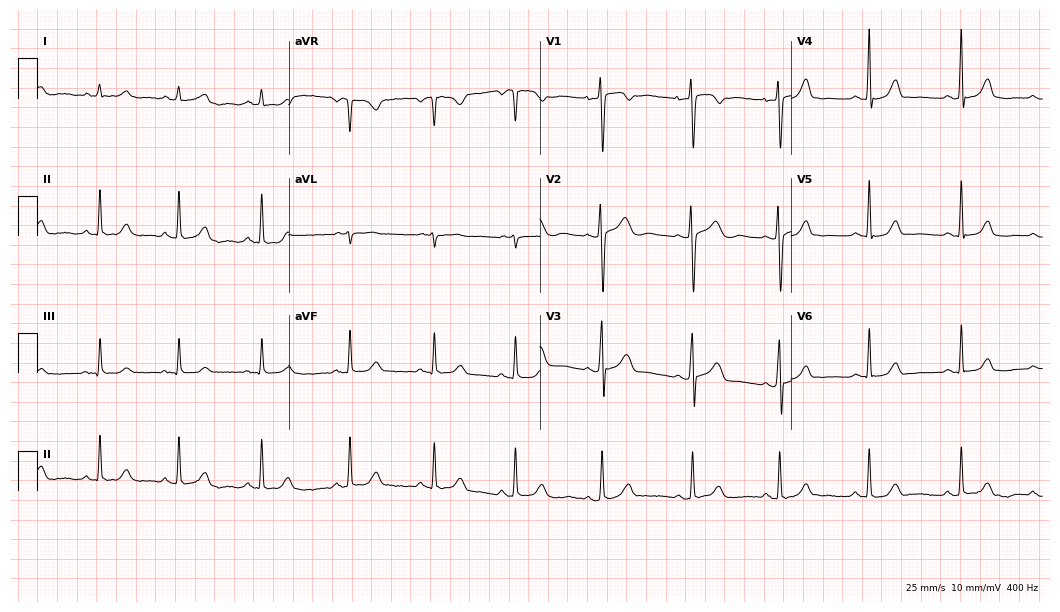
12-lead ECG from a 21-year-old female (10.2-second recording at 400 Hz). Recorded interpretation: within normal limits.